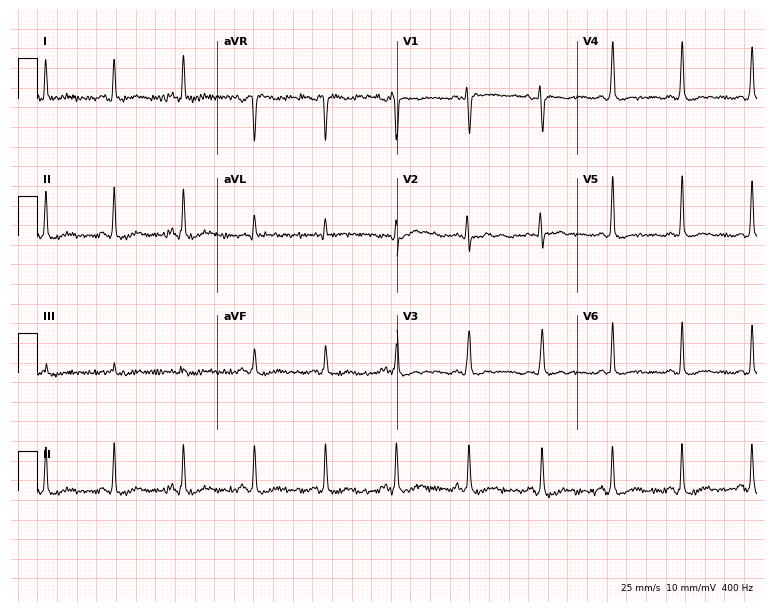
12-lead ECG (7.3-second recording at 400 Hz) from a female, 45 years old. Screened for six findings — first-degree AV block, right bundle branch block, left bundle branch block, sinus bradycardia, atrial fibrillation, sinus tachycardia — none is recorded. Findings outside these six are not listed.